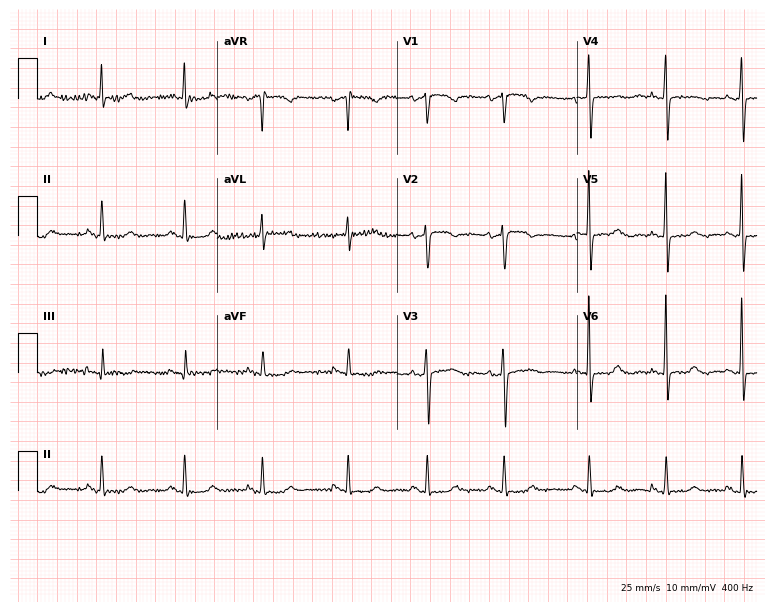
12-lead ECG from a 73-year-old female (7.3-second recording at 400 Hz). Recorded interpretation: within normal limits.